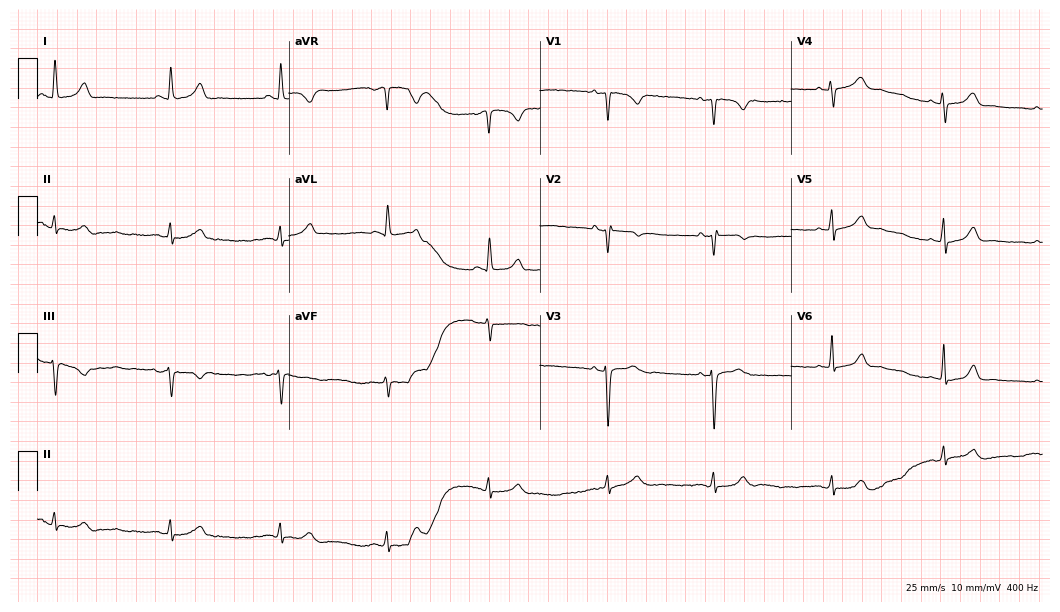
Resting 12-lead electrocardiogram (10.2-second recording at 400 Hz). Patient: a female, 36 years old. Read as a normal ECG.